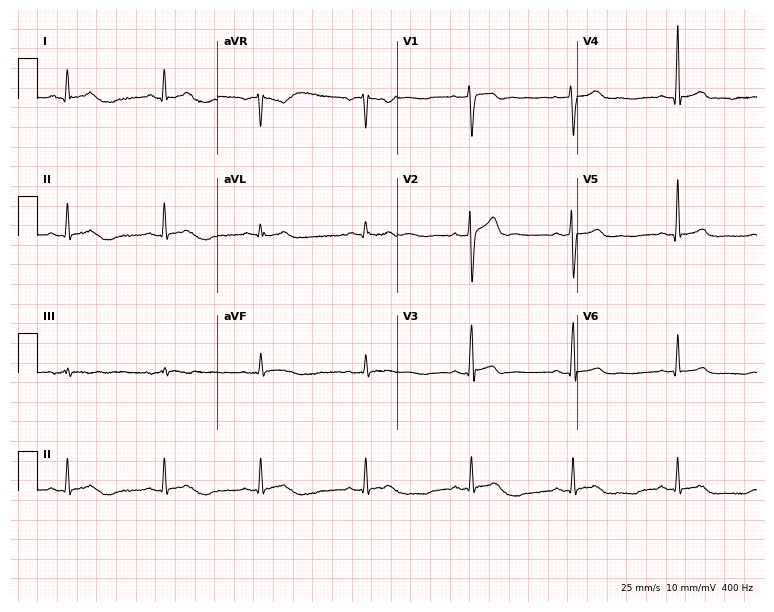
ECG (7.3-second recording at 400 Hz) — a 34-year-old male. Labelled as a normal ECG.